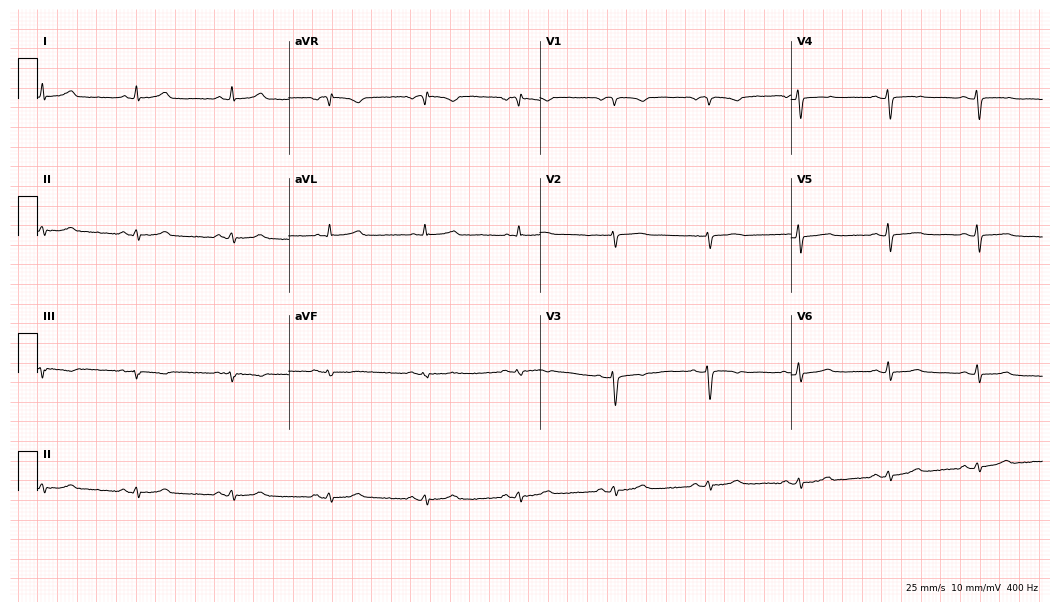
Standard 12-lead ECG recorded from a 61-year-old female patient. None of these six findings is recorded: first-degree AV block, right bundle branch block (RBBB), left bundle branch block (LBBB), sinus bradycardia, atrial fibrillation (AF), sinus tachycardia.